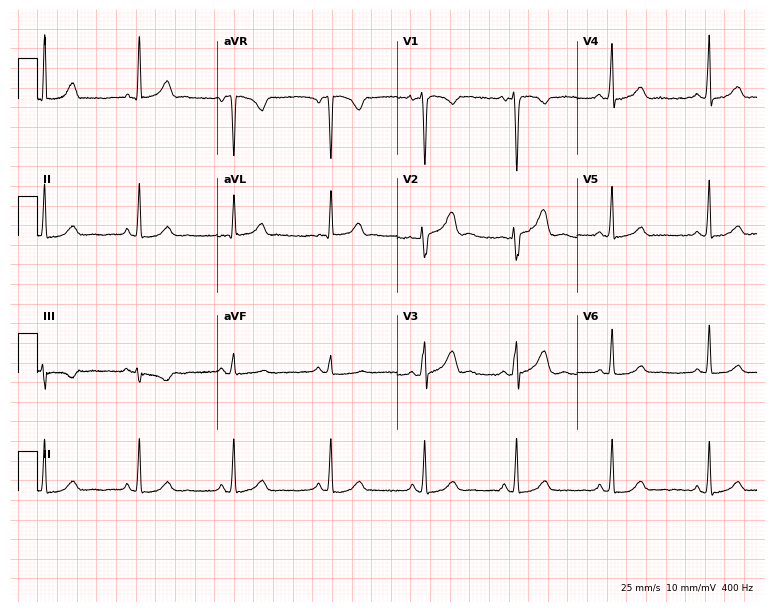
Standard 12-lead ECG recorded from a female, 33 years old (7.3-second recording at 400 Hz). Read as a normal ECG.